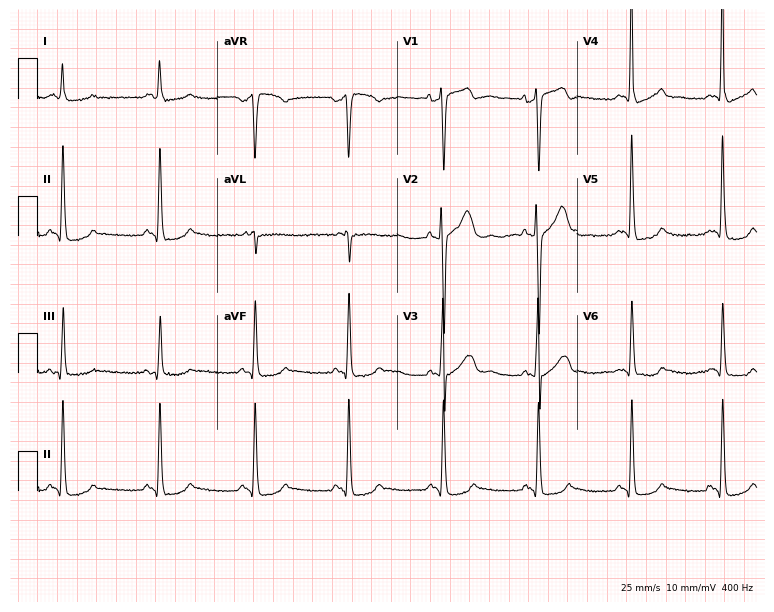
ECG — a female patient, 60 years old. Screened for six findings — first-degree AV block, right bundle branch block, left bundle branch block, sinus bradycardia, atrial fibrillation, sinus tachycardia — none is recorded. Other findings, if any, are not listed.